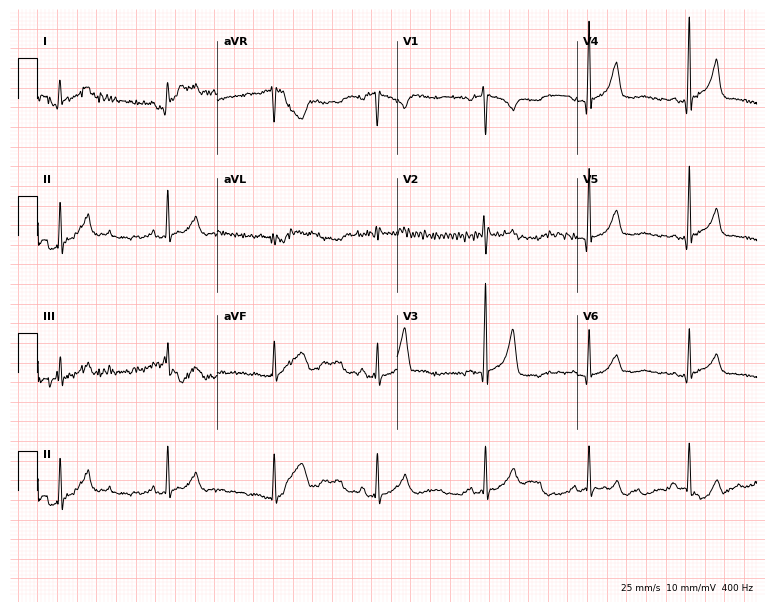
Electrocardiogram, a 38-year-old male patient. Of the six screened findings (first-degree AV block, right bundle branch block (RBBB), left bundle branch block (LBBB), sinus bradycardia, atrial fibrillation (AF), sinus tachycardia), none is recorded. Findings outside these six are not listed.